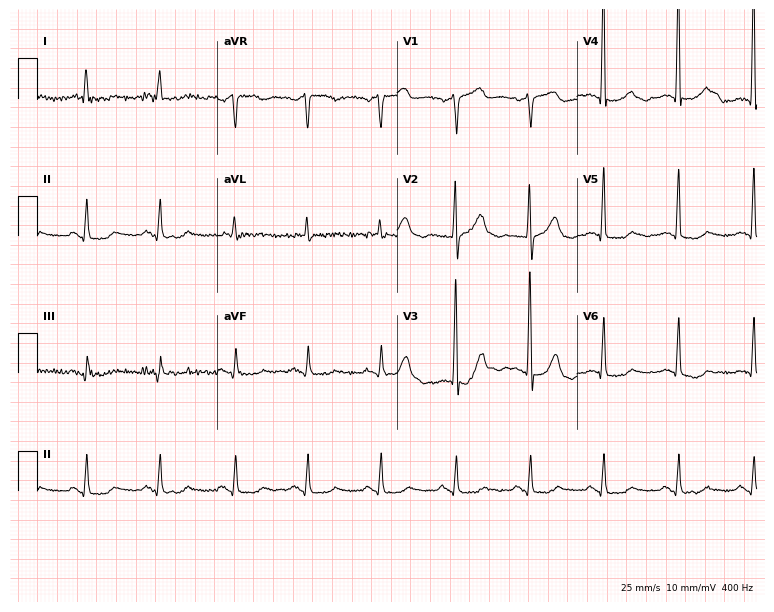
ECG — an 81-year-old male patient. Labelled as a normal ECG.